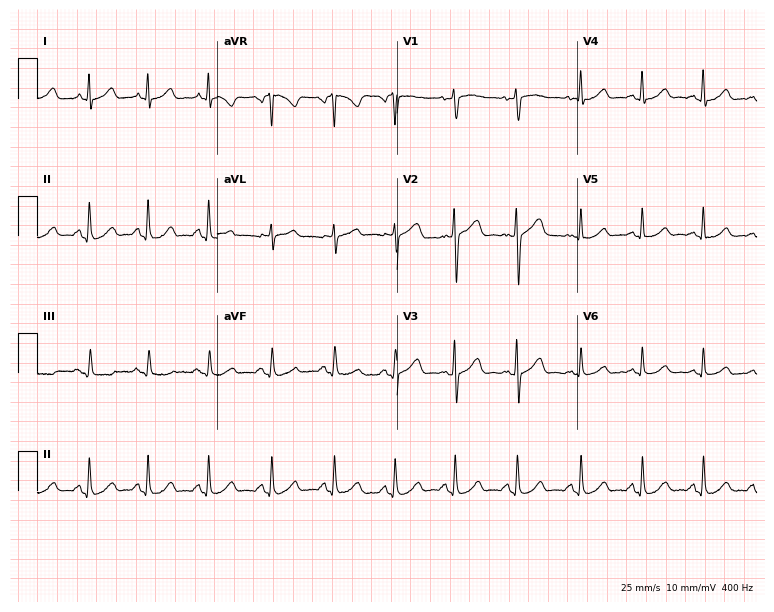
Electrocardiogram (7.3-second recording at 400 Hz), a 32-year-old female. Overall reading on record: normal ECG.